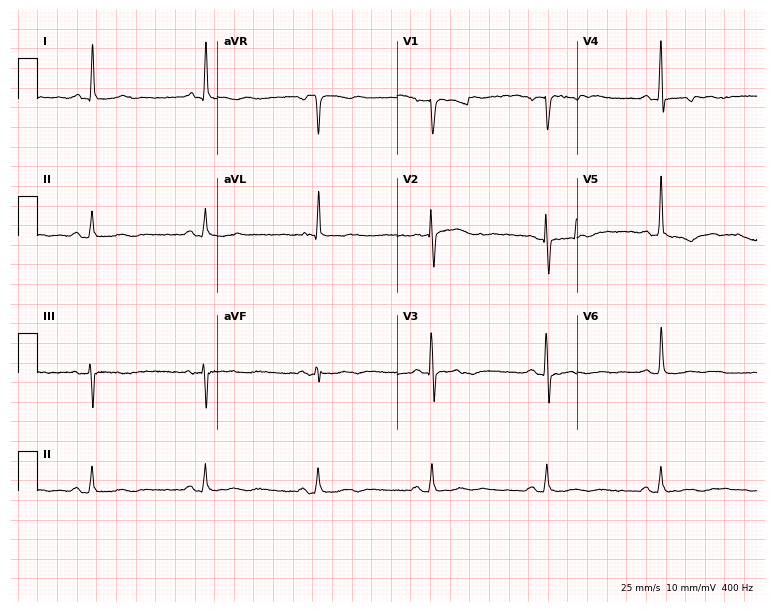
ECG — a 67-year-old man. Screened for six findings — first-degree AV block, right bundle branch block (RBBB), left bundle branch block (LBBB), sinus bradycardia, atrial fibrillation (AF), sinus tachycardia — none is recorded.